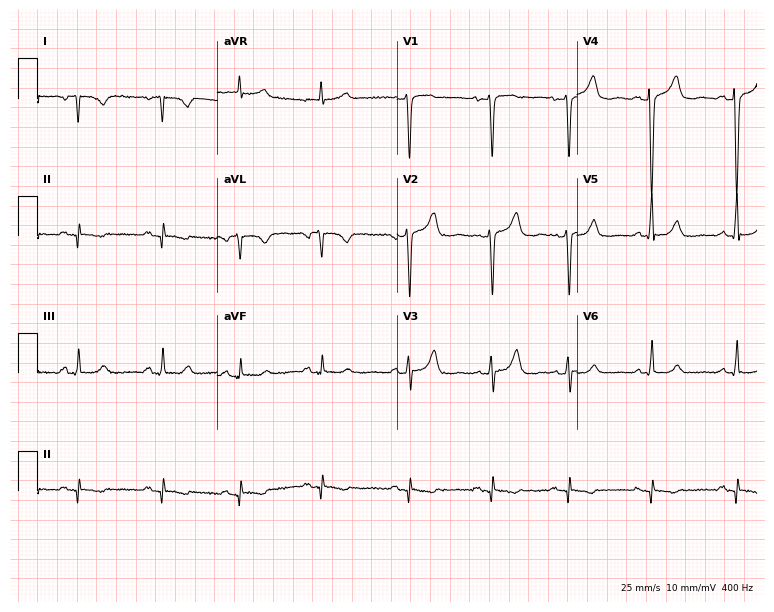
12-lead ECG from a female patient, 49 years old. No first-degree AV block, right bundle branch block (RBBB), left bundle branch block (LBBB), sinus bradycardia, atrial fibrillation (AF) or sinus tachycardia recorded for this tracing.